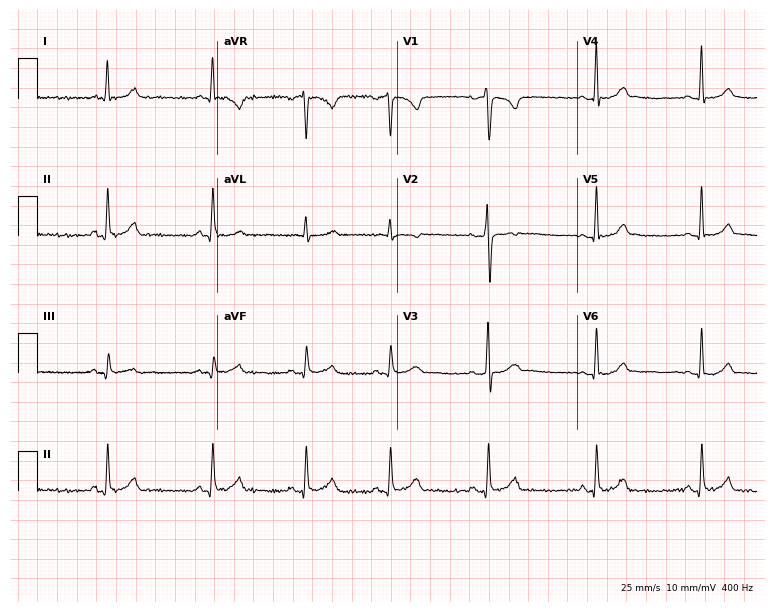
Resting 12-lead electrocardiogram (7.3-second recording at 400 Hz). Patient: a female, 20 years old. Read as a normal ECG.